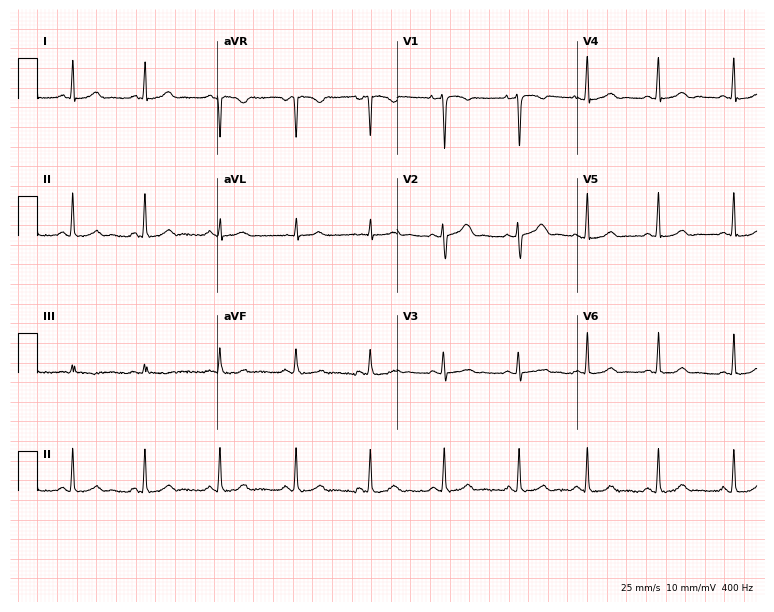
12-lead ECG (7.3-second recording at 400 Hz) from a 24-year-old female patient. Labelled as a normal ECG.